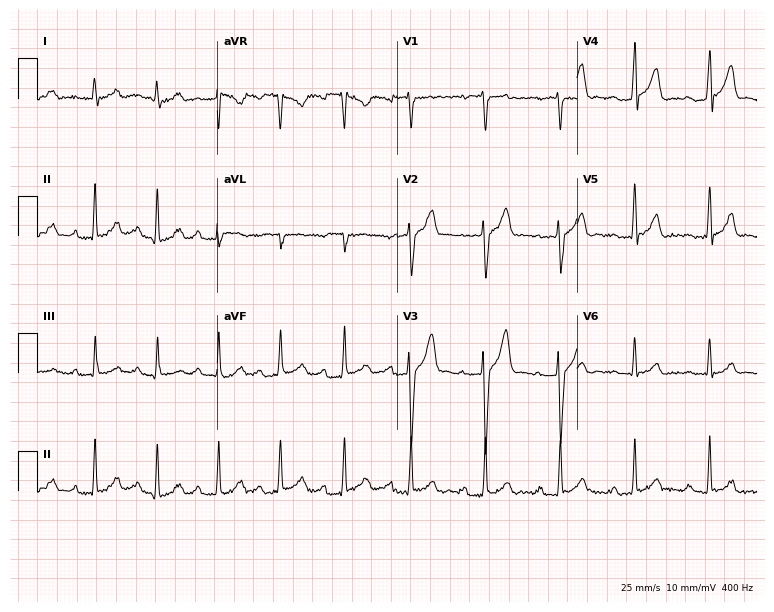
Standard 12-lead ECG recorded from a man, 27 years old. The tracing shows first-degree AV block.